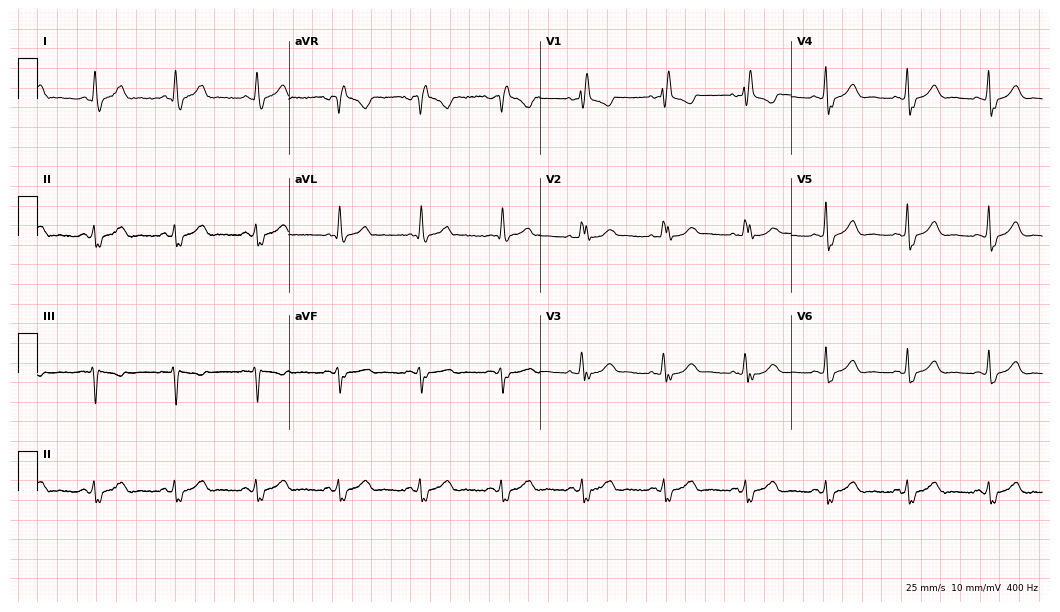
ECG (10.2-second recording at 400 Hz) — a female patient, 50 years old. Findings include right bundle branch block (RBBB).